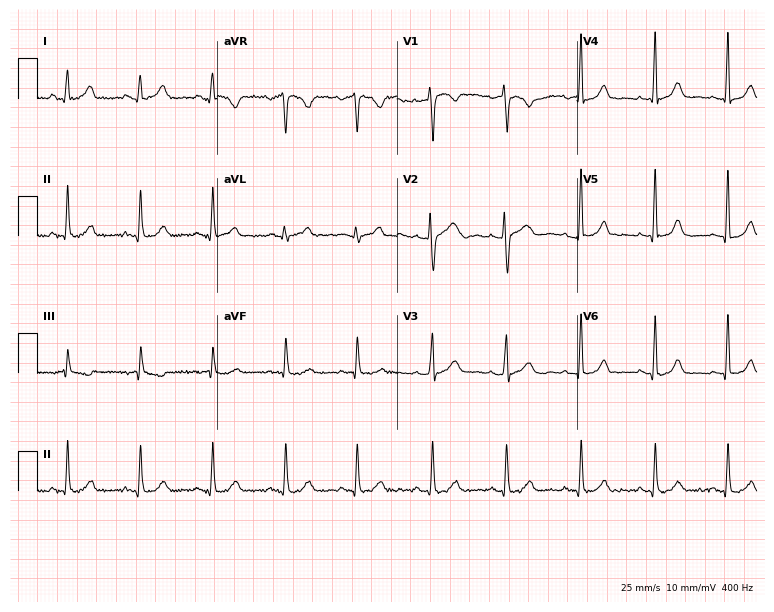
Resting 12-lead electrocardiogram (7.3-second recording at 400 Hz). Patient: a 42-year-old female. Read as a normal ECG.